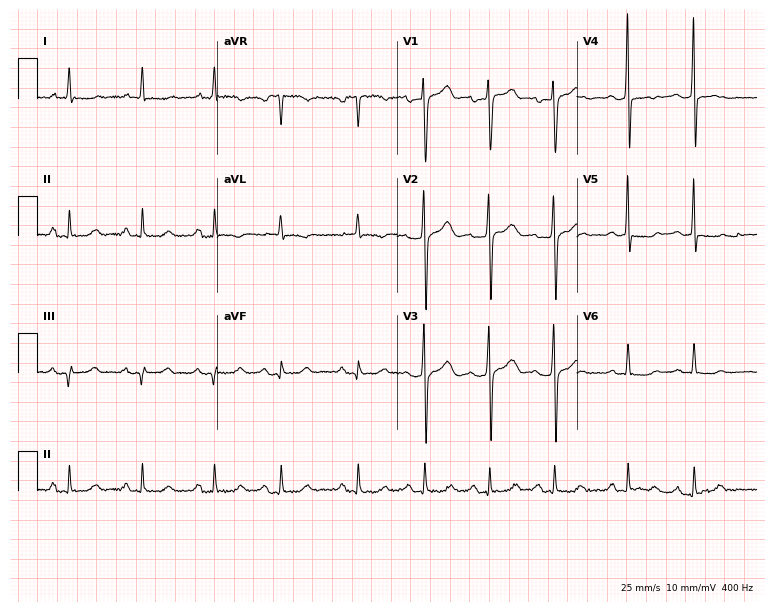
ECG — a male patient, 67 years old. Screened for six findings — first-degree AV block, right bundle branch block, left bundle branch block, sinus bradycardia, atrial fibrillation, sinus tachycardia — none is recorded. Findings outside these six are not listed.